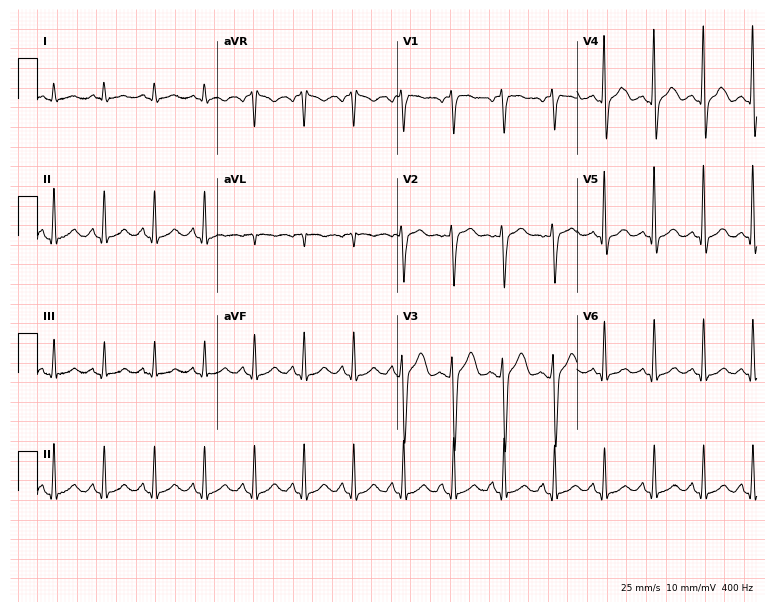
ECG — a 35-year-old male patient. Findings include sinus tachycardia (a sinus rate of 100 beats per minute or more).